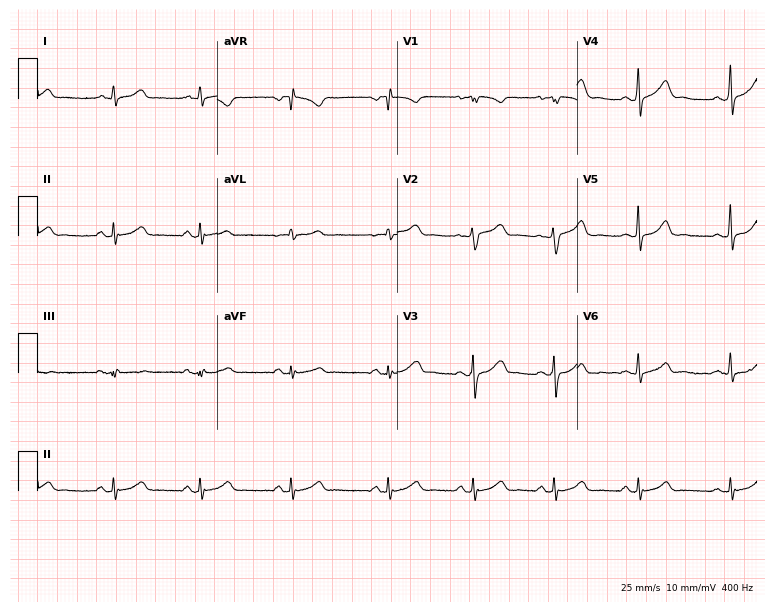
Electrocardiogram, a 31-year-old female. Overall reading on record: normal ECG.